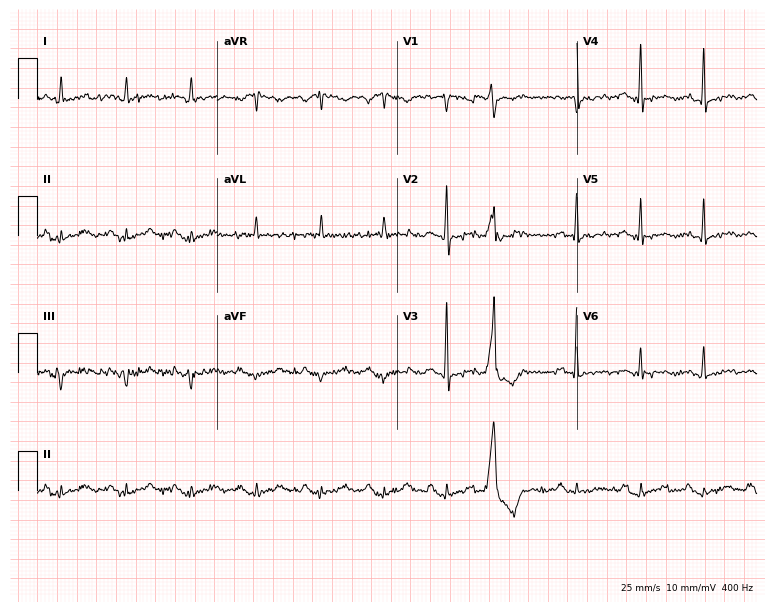
Resting 12-lead electrocardiogram. Patient: a male, 80 years old. None of these six findings is recorded: first-degree AV block, right bundle branch block, left bundle branch block, sinus bradycardia, atrial fibrillation, sinus tachycardia.